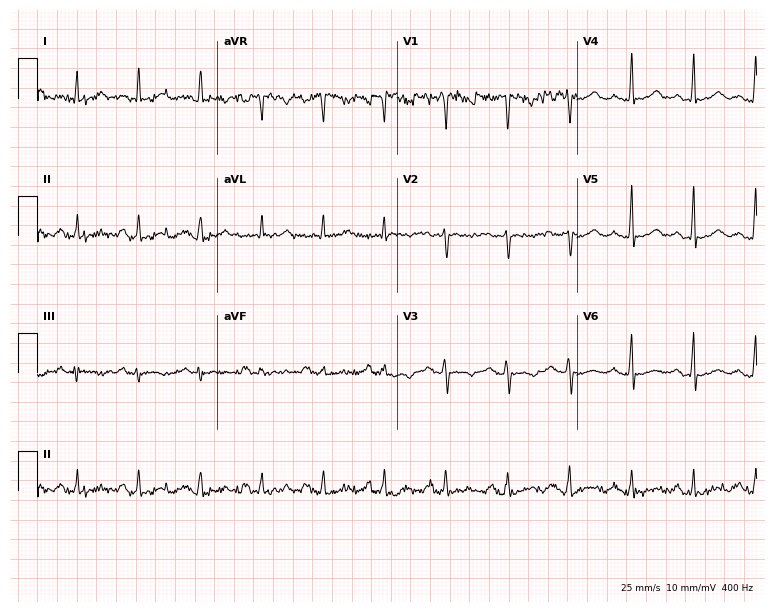
ECG (7.3-second recording at 400 Hz) — a female patient, 41 years old. Screened for six findings — first-degree AV block, right bundle branch block (RBBB), left bundle branch block (LBBB), sinus bradycardia, atrial fibrillation (AF), sinus tachycardia — none is recorded. Only these six findings were labelled.